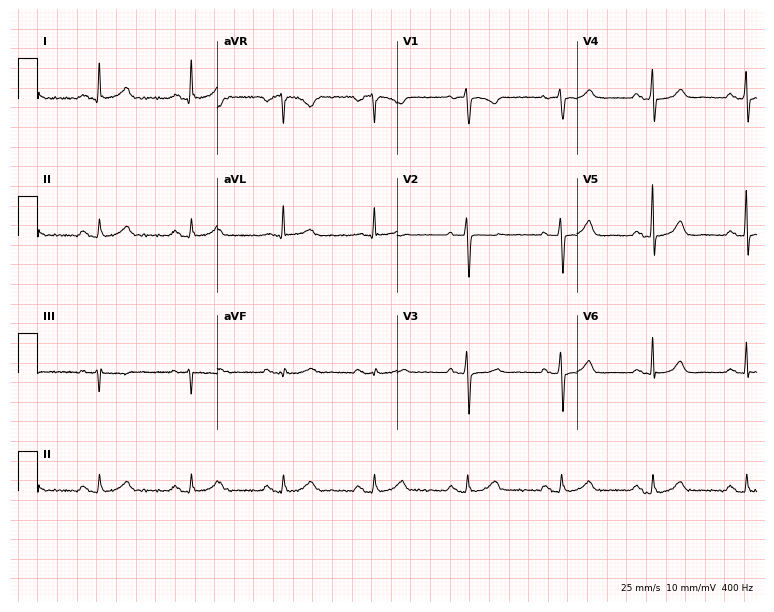
ECG — an 84-year-old female. Labelled as a normal ECG.